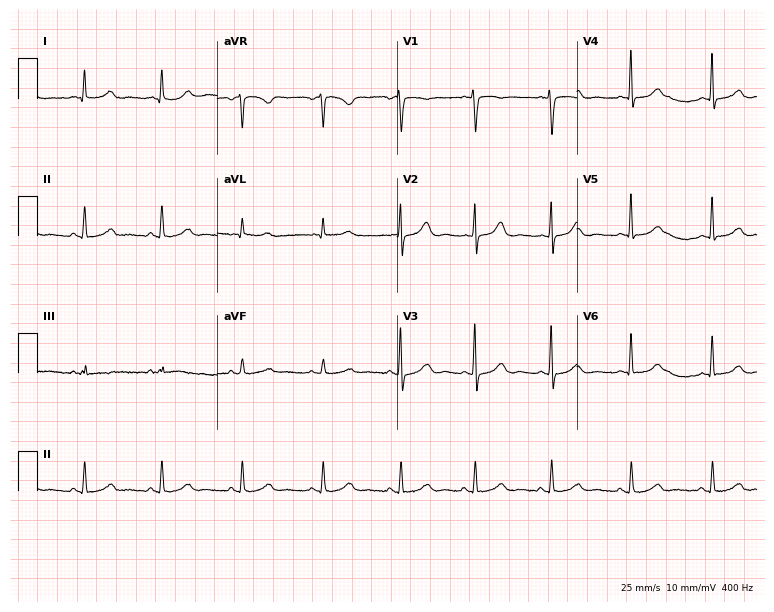
12-lead ECG (7.3-second recording at 400 Hz) from a 46-year-old female patient. Screened for six findings — first-degree AV block, right bundle branch block (RBBB), left bundle branch block (LBBB), sinus bradycardia, atrial fibrillation (AF), sinus tachycardia — none is recorded. Other findings, if any, are not listed.